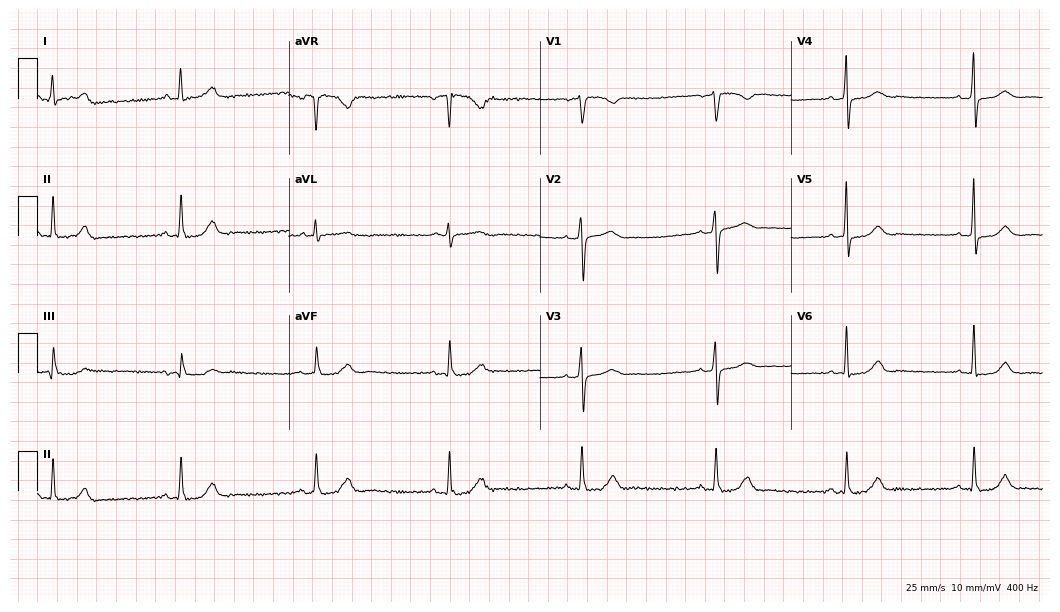
Electrocardiogram, a woman, 54 years old. Interpretation includes sinus bradycardia (a sinus rate of 50 beats per minute or less).